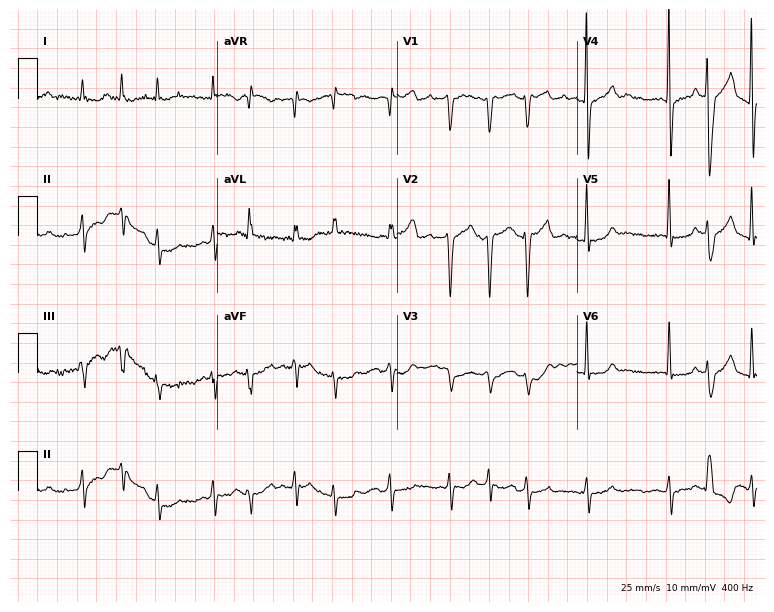
ECG — a 78-year-old male patient. Screened for six findings — first-degree AV block, right bundle branch block, left bundle branch block, sinus bradycardia, atrial fibrillation, sinus tachycardia — none is recorded. Only these six findings were labelled.